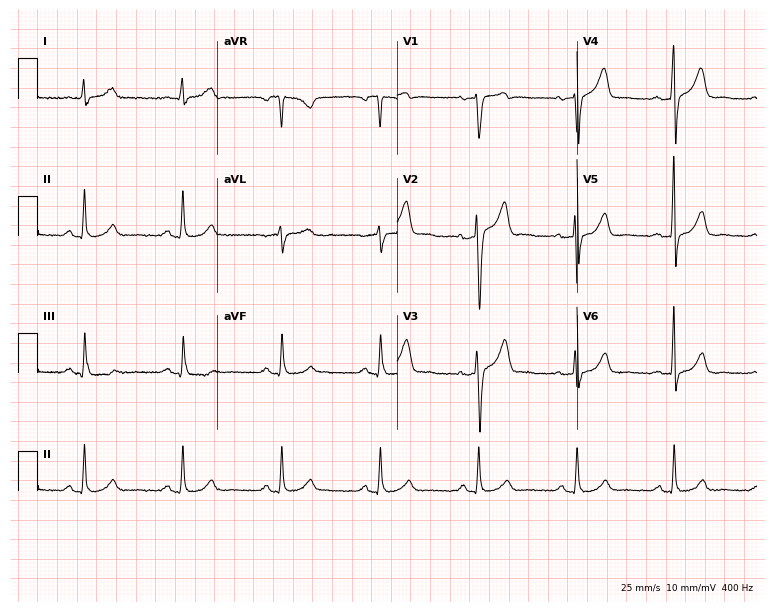
Resting 12-lead electrocardiogram (7.3-second recording at 400 Hz). Patient: a 58-year-old man. None of these six findings is recorded: first-degree AV block, right bundle branch block (RBBB), left bundle branch block (LBBB), sinus bradycardia, atrial fibrillation (AF), sinus tachycardia. Findings outside these six are not listed.